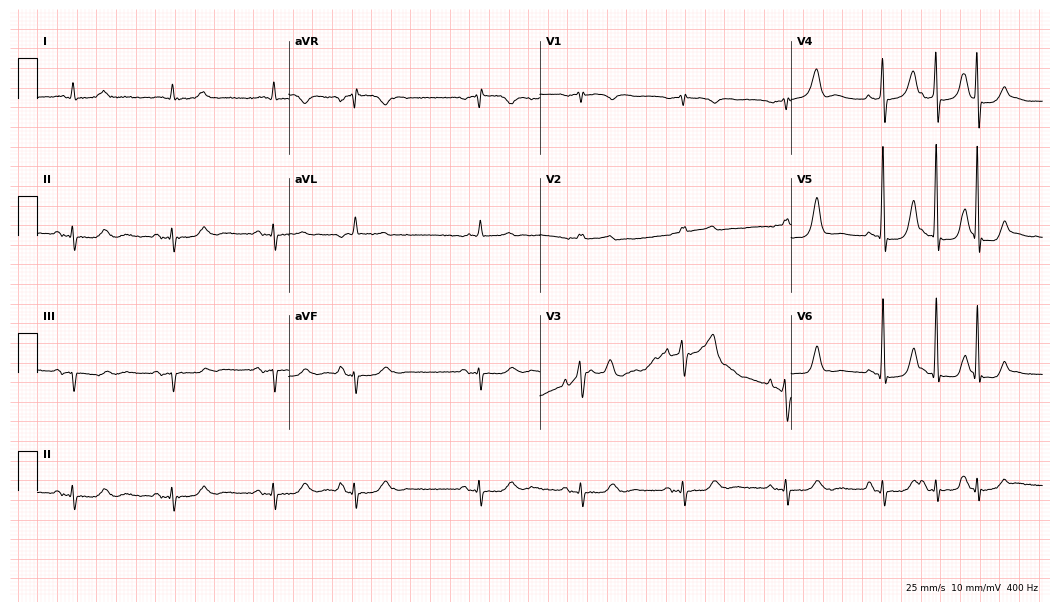
Standard 12-lead ECG recorded from an 82-year-old male patient (10.2-second recording at 400 Hz). None of these six findings is recorded: first-degree AV block, right bundle branch block, left bundle branch block, sinus bradycardia, atrial fibrillation, sinus tachycardia.